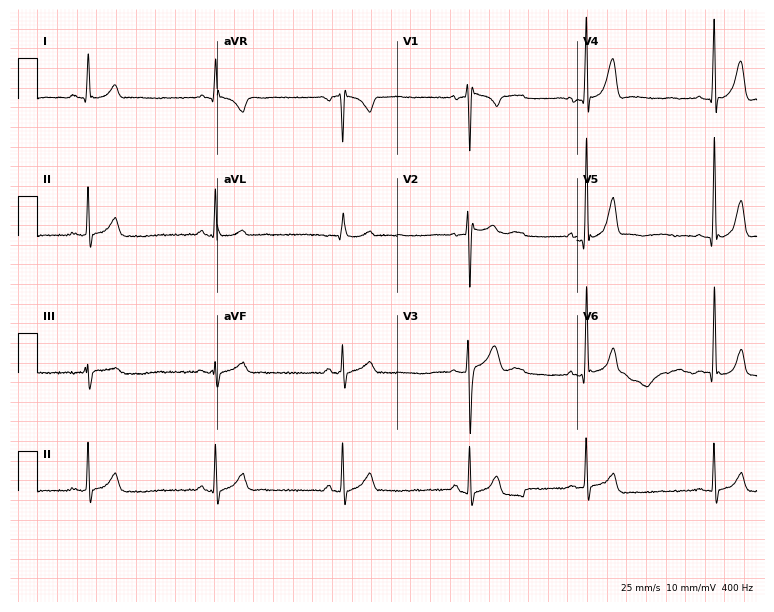
Electrocardiogram (7.3-second recording at 400 Hz), a male patient, 17 years old. Interpretation includes sinus bradycardia (a sinus rate of 50 beats per minute or less).